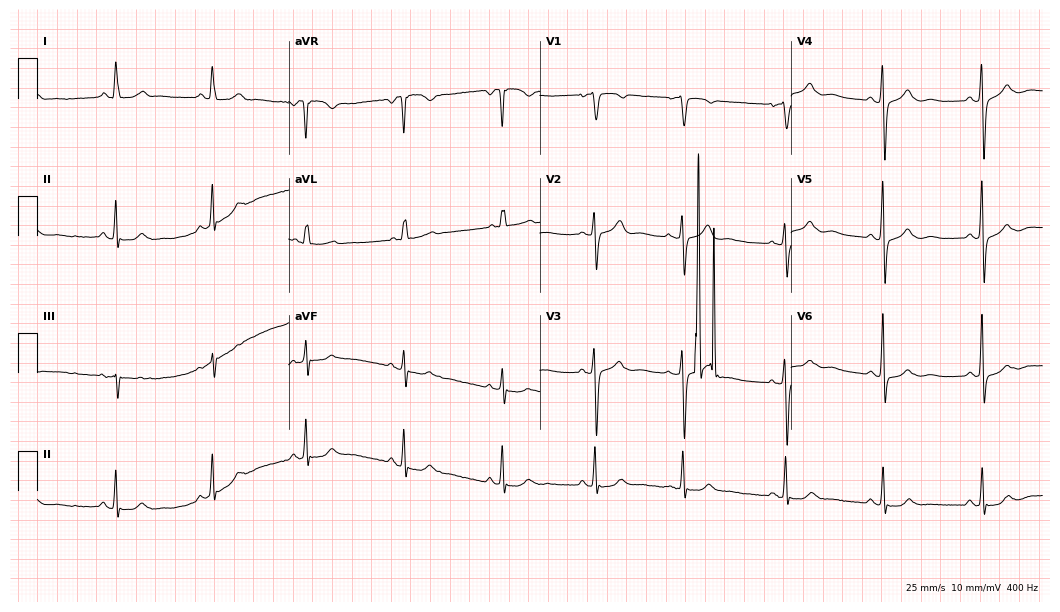
Resting 12-lead electrocardiogram (10.2-second recording at 400 Hz). Patient: a woman, 74 years old. Read as a normal ECG.